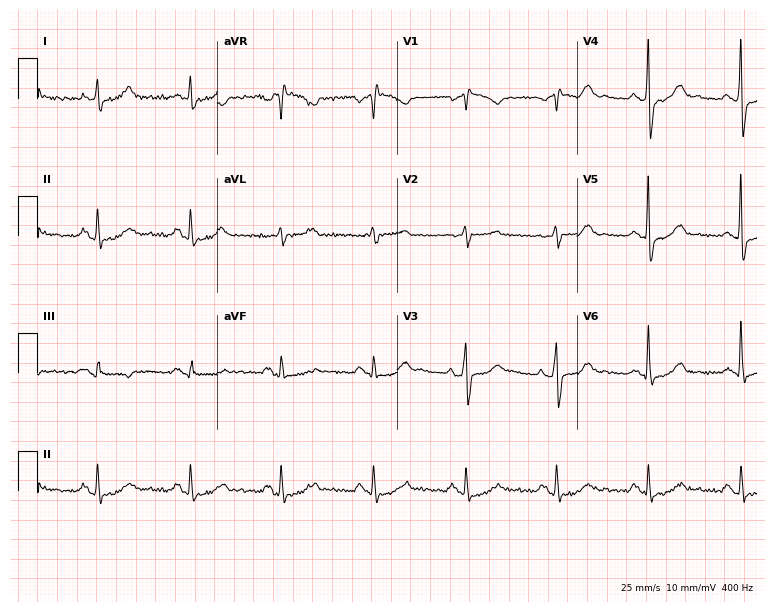
12-lead ECG from a 74-year-old man. No first-degree AV block, right bundle branch block (RBBB), left bundle branch block (LBBB), sinus bradycardia, atrial fibrillation (AF) or sinus tachycardia recorded for this tracing. Only these six findings were labelled.